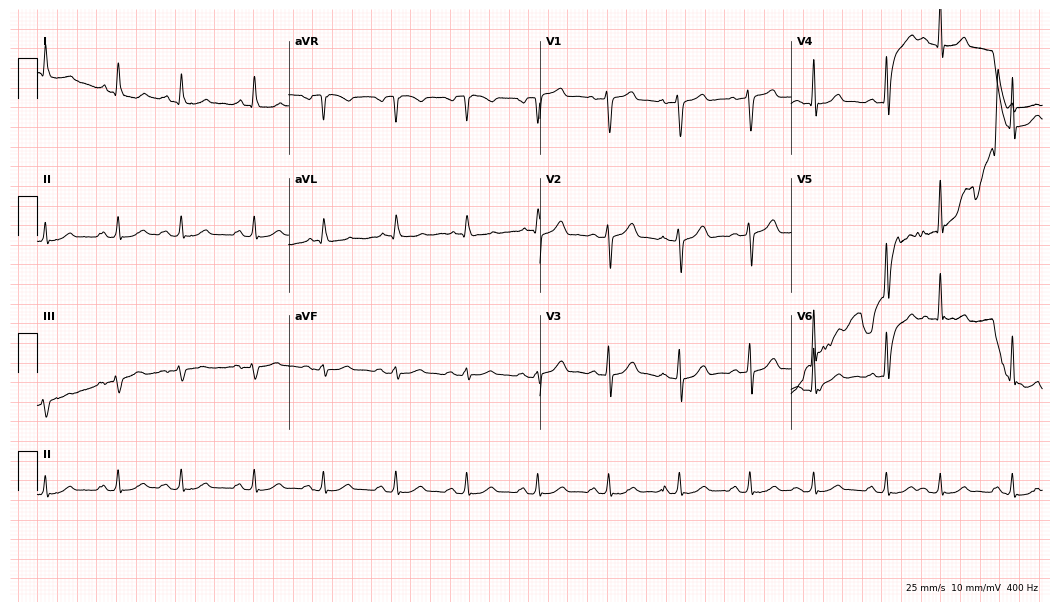
ECG — a male, 78 years old. Screened for six findings — first-degree AV block, right bundle branch block, left bundle branch block, sinus bradycardia, atrial fibrillation, sinus tachycardia — none is recorded. Other findings, if any, are not listed.